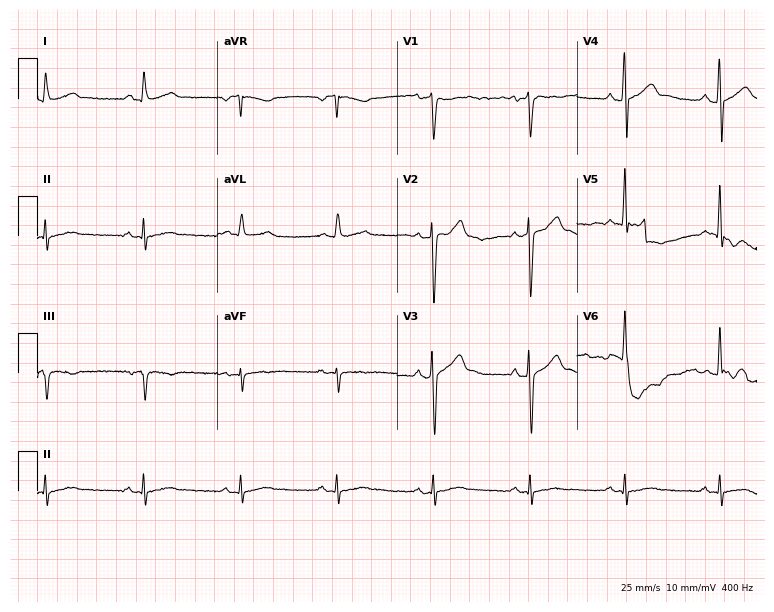
Resting 12-lead electrocardiogram. Patient: a 49-year-old male. Read as a normal ECG.